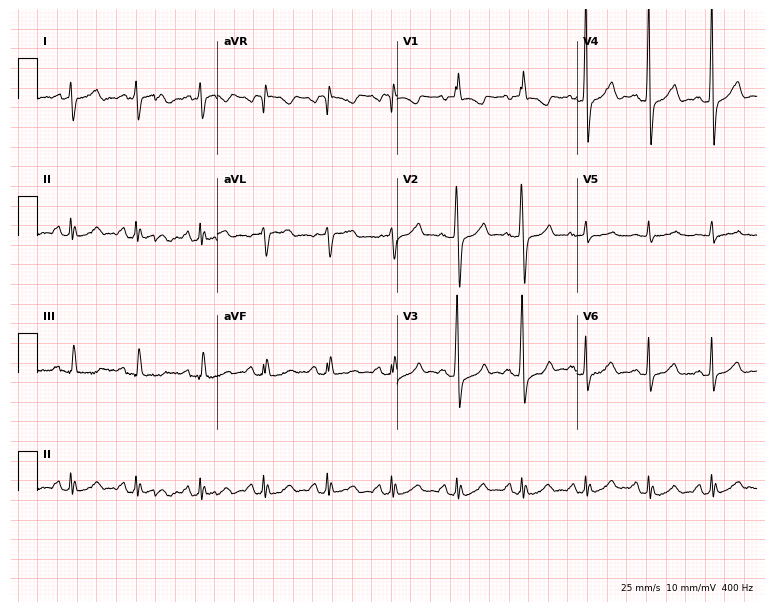
ECG (7.3-second recording at 400 Hz) — a male patient, 73 years old. Screened for six findings — first-degree AV block, right bundle branch block (RBBB), left bundle branch block (LBBB), sinus bradycardia, atrial fibrillation (AF), sinus tachycardia — none is recorded. Other findings, if any, are not listed.